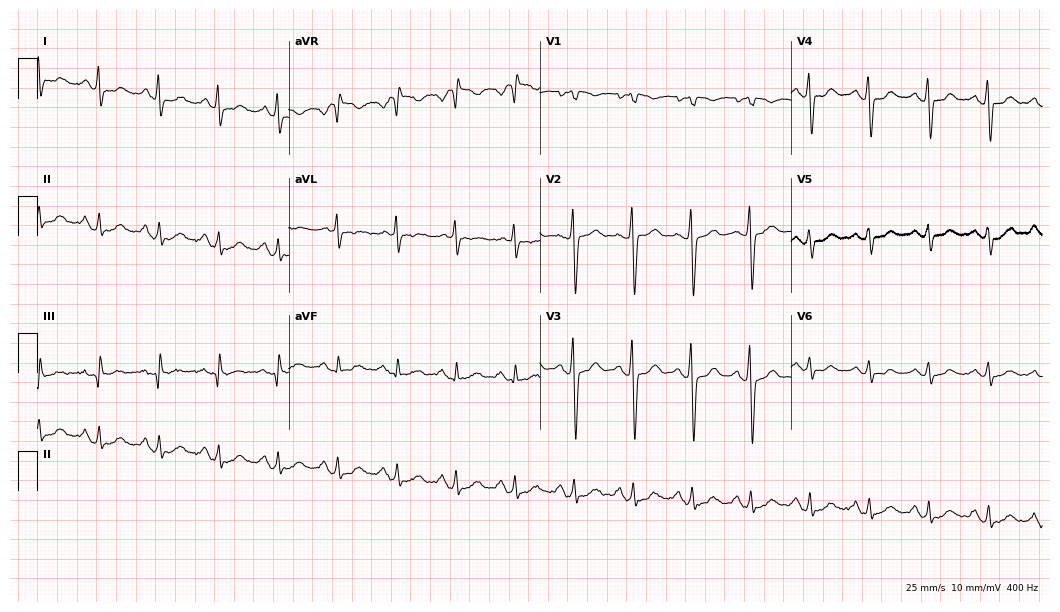
ECG — a male, 40 years old. Labelled as a normal ECG.